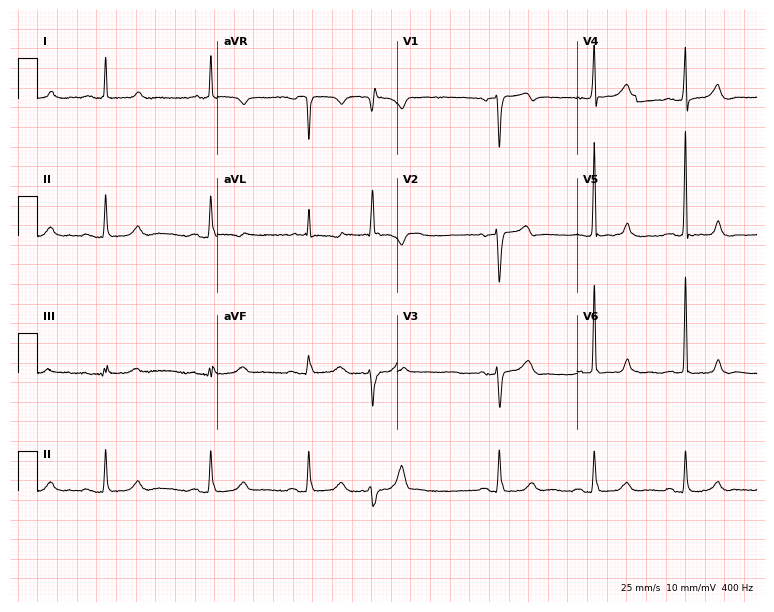
12-lead ECG from a male patient, 80 years old. No first-degree AV block, right bundle branch block (RBBB), left bundle branch block (LBBB), sinus bradycardia, atrial fibrillation (AF) or sinus tachycardia recorded for this tracing.